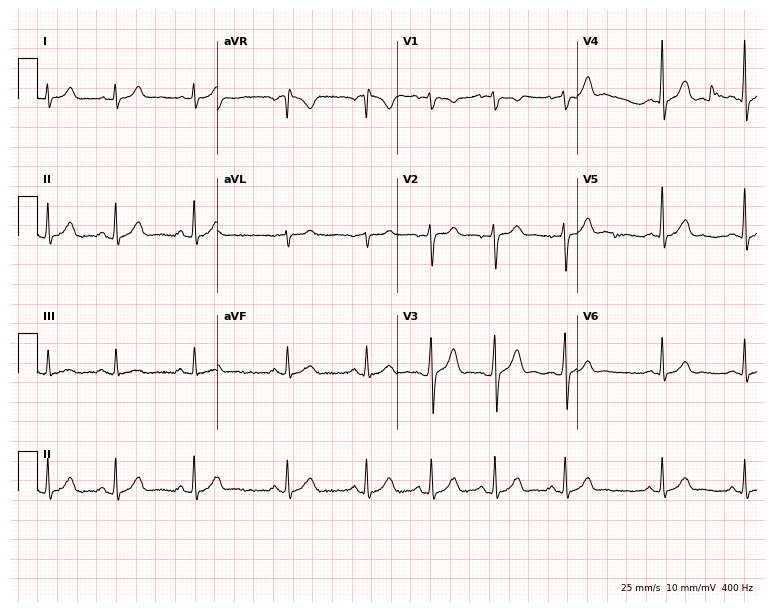
Resting 12-lead electrocardiogram. Patient: a male, 28 years old. Read as a normal ECG.